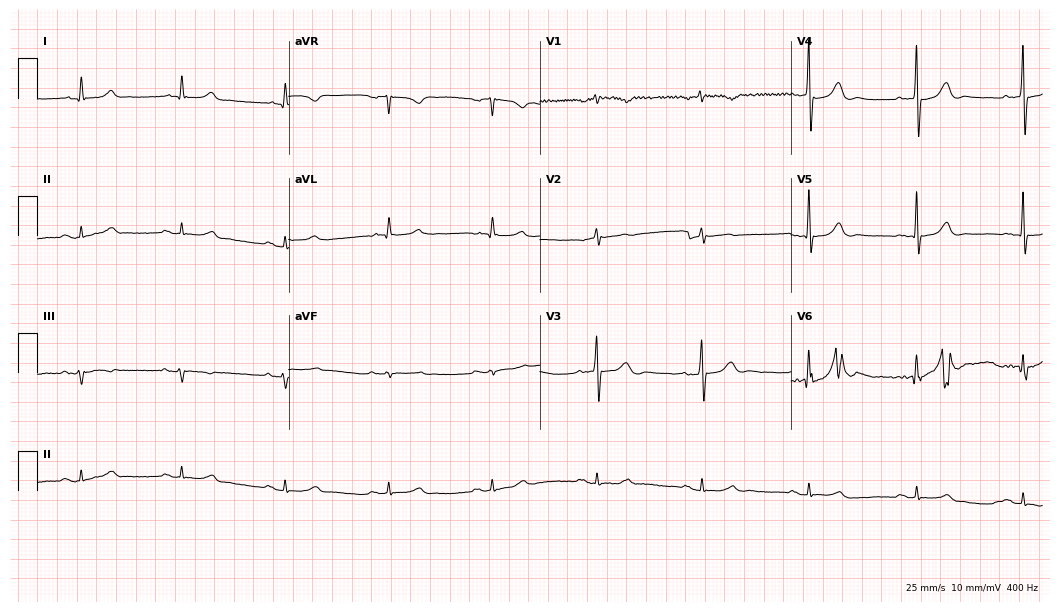
Resting 12-lead electrocardiogram (10.2-second recording at 400 Hz). Patient: a male, 76 years old. Read as a normal ECG.